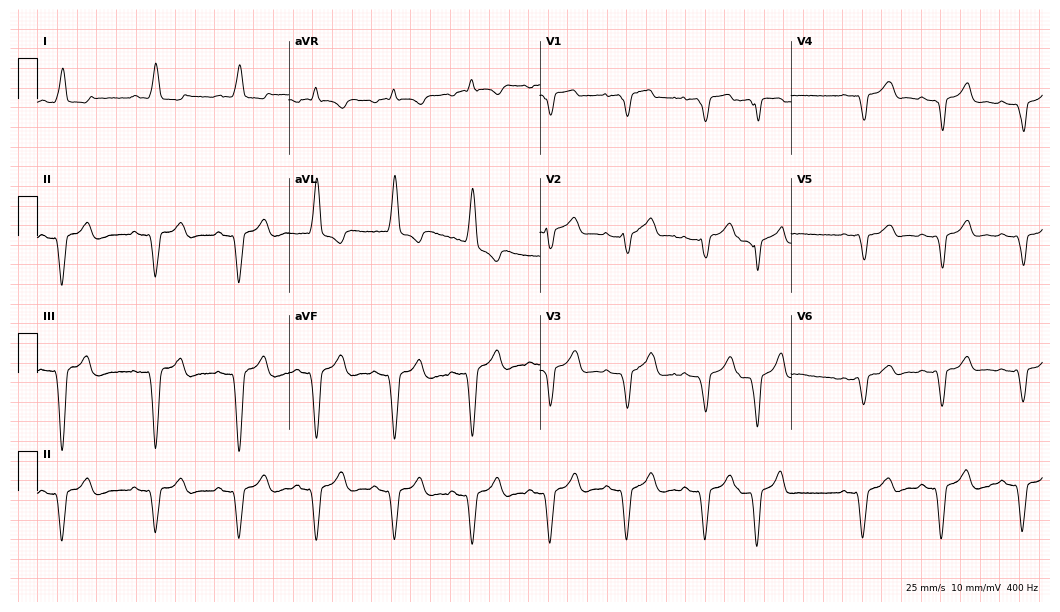
Standard 12-lead ECG recorded from a woman, 45 years old. The tracing shows left bundle branch block.